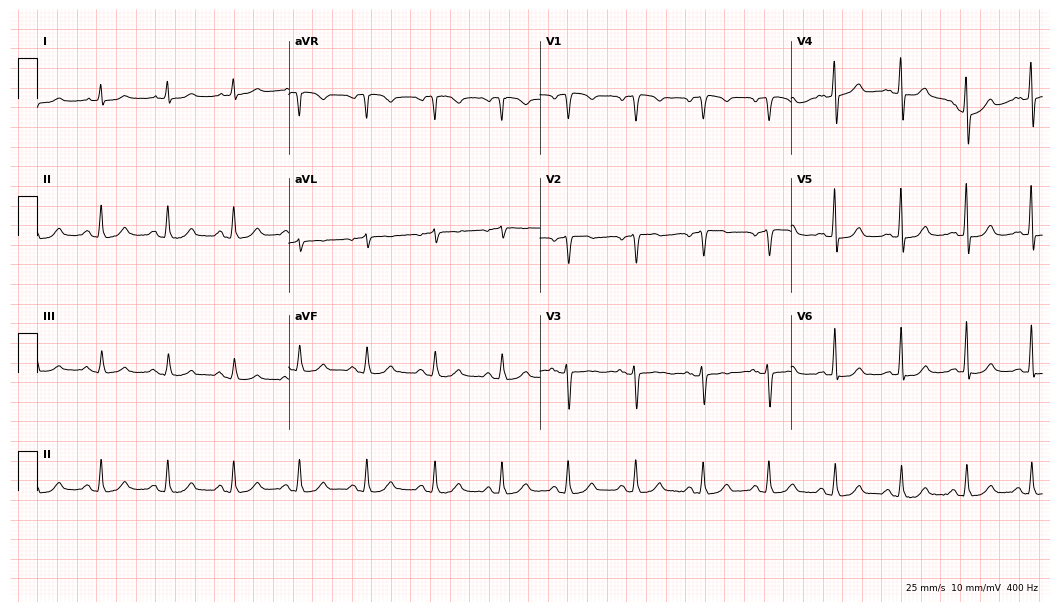
Standard 12-lead ECG recorded from a 53-year-old female patient (10.2-second recording at 400 Hz). None of these six findings is recorded: first-degree AV block, right bundle branch block, left bundle branch block, sinus bradycardia, atrial fibrillation, sinus tachycardia. Only these six findings were labelled.